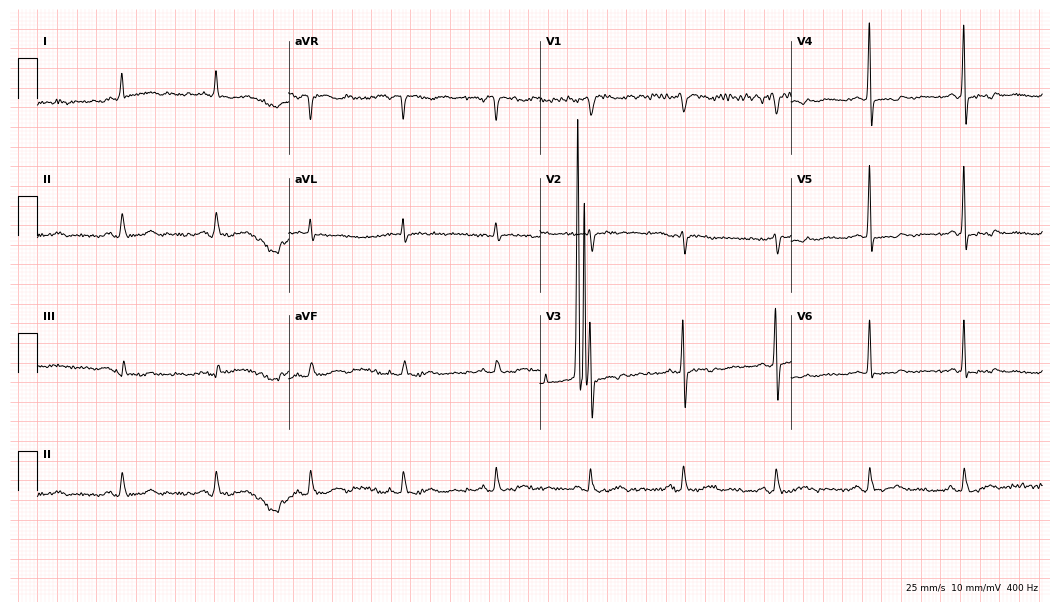
ECG (10.2-second recording at 400 Hz) — a man, 69 years old. Screened for six findings — first-degree AV block, right bundle branch block, left bundle branch block, sinus bradycardia, atrial fibrillation, sinus tachycardia — none is recorded. Findings outside these six are not listed.